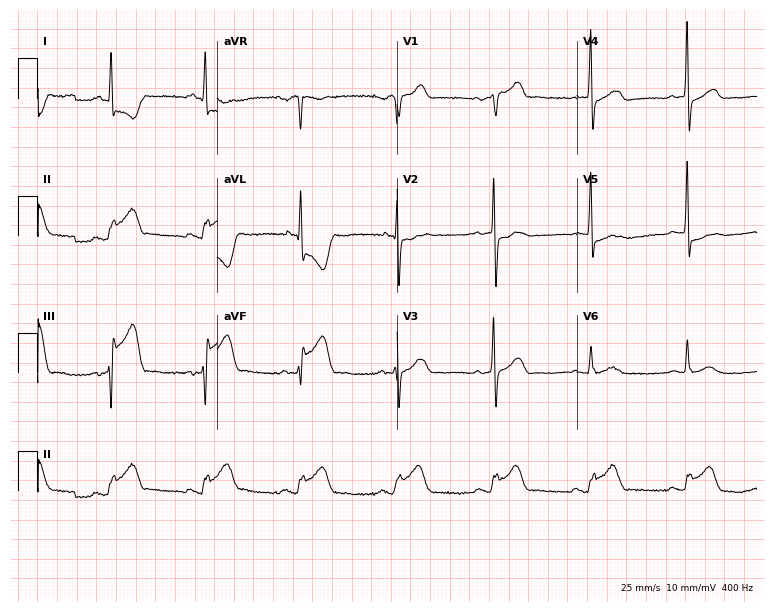
12-lead ECG from a 72-year-old male patient. Screened for six findings — first-degree AV block, right bundle branch block, left bundle branch block, sinus bradycardia, atrial fibrillation, sinus tachycardia — none is recorded.